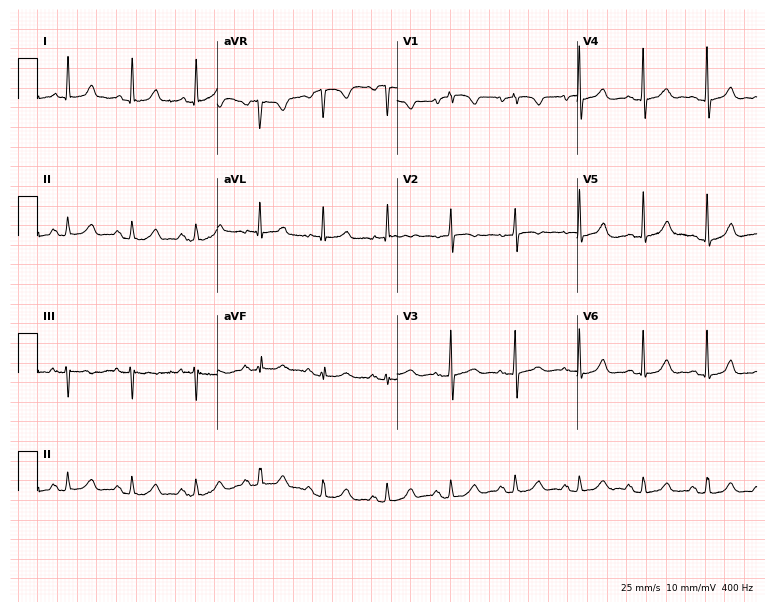
Resting 12-lead electrocardiogram (7.3-second recording at 400 Hz). Patient: an 84-year-old female. Read as a normal ECG.